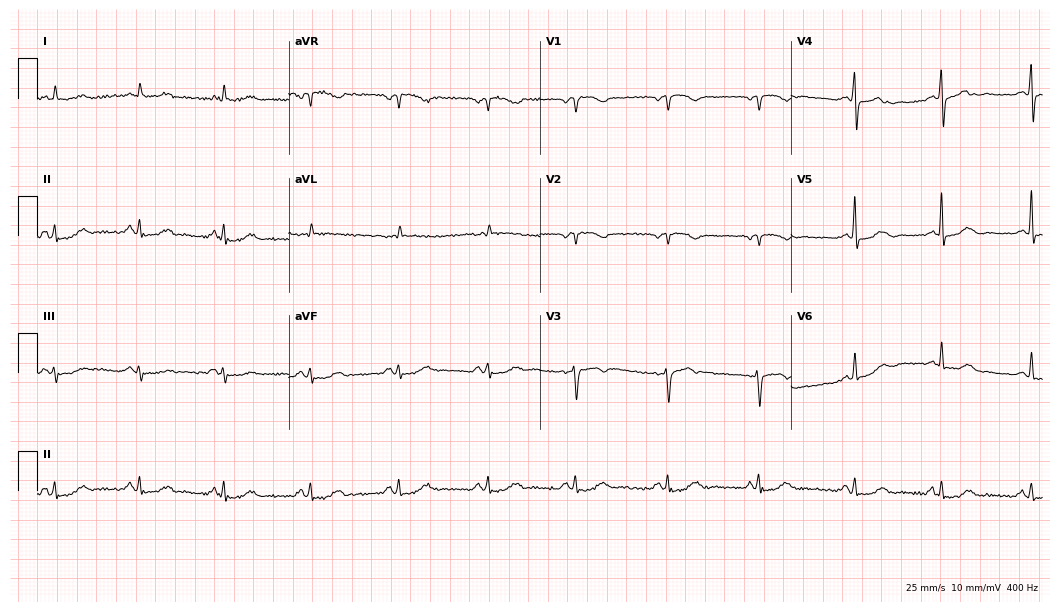
Resting 12-lead electrocardiogram (10.2-second recording at 400 Hz). Patient: a 74-year-old woman. None of these six findings is recorded: first-degree AV block, right bundle branch block (RBBB), left bundle branch block (LBBB), sinus bradycardia, atrial fibrillation (AF), sinus tachycardia.